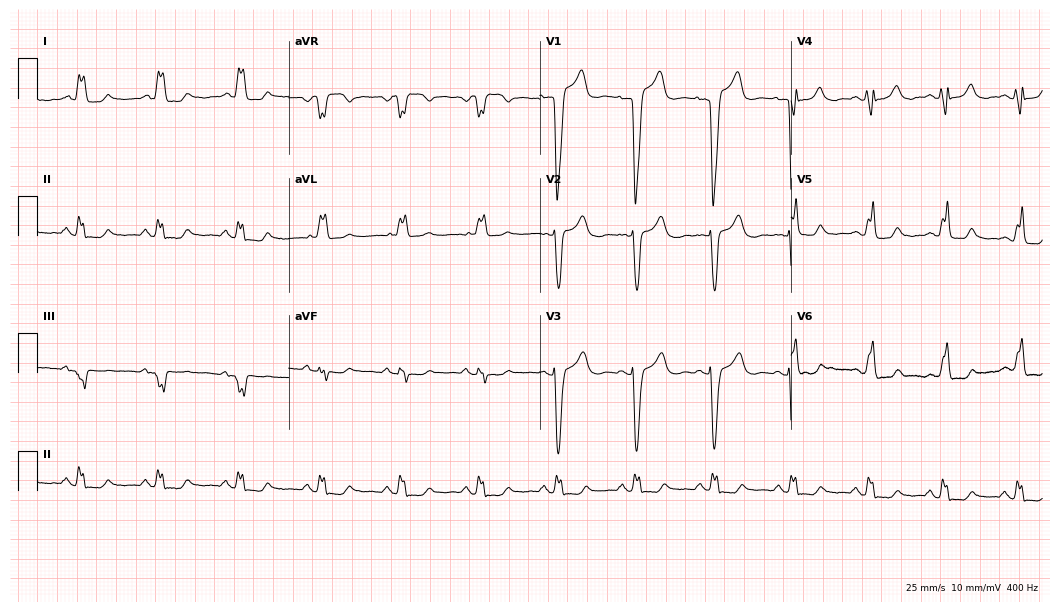
Electrocardiogram, a 53-year-old woman. Interpretation includes left bundle branch block.